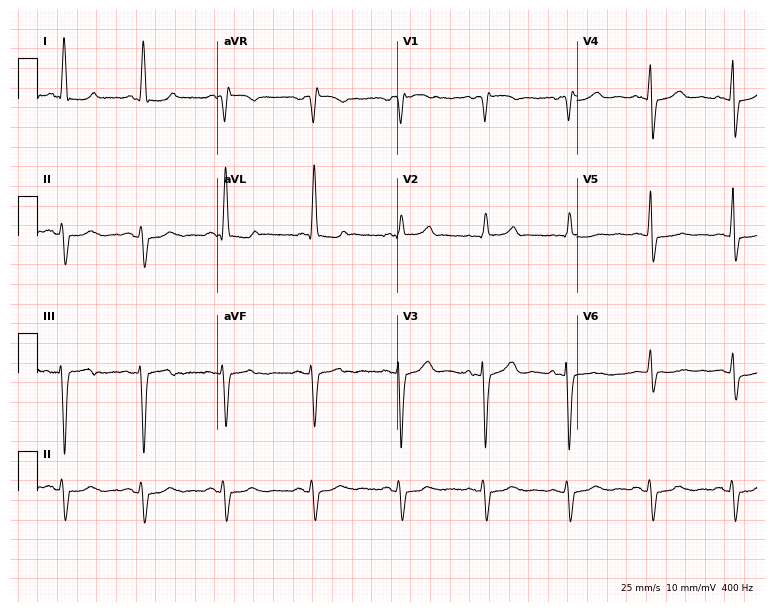
12-lead ECG (7.3-second recording at 400 Hz) from a 79-year-old female patient. Screened for six findings — first-degree AV block, right bundle branch block, left bundle branch block, sinus bradycardia, atrial fibrillation, sinus tachycardia — none is recorded.